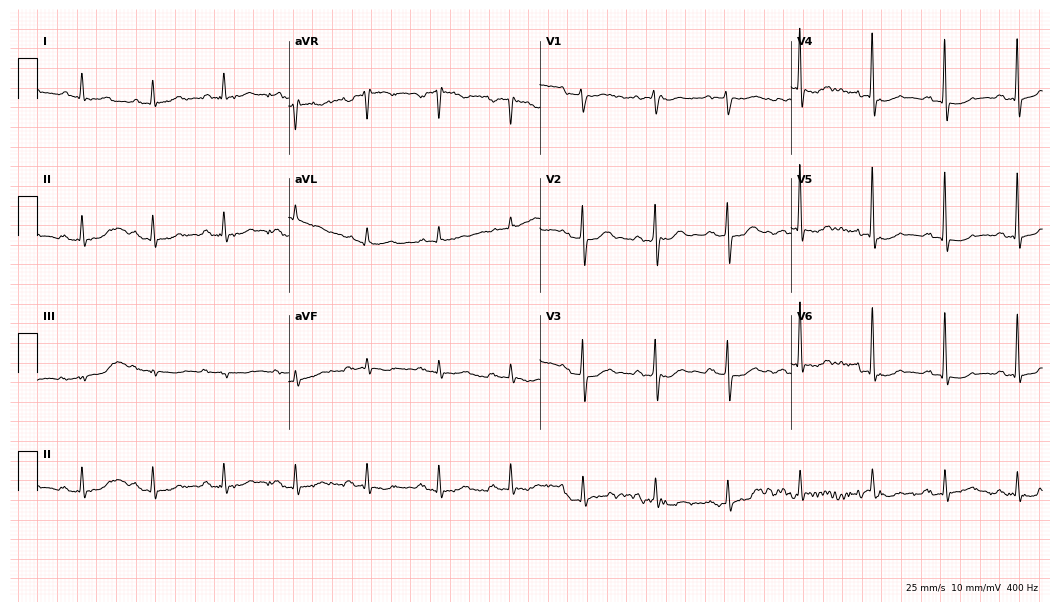
Electrocardiogram, a man, 77 years old. Of the six screened findings (first-degree AV block, right bundle branch block, left bundle branch block, sinus bradycardia, atrial fibrillation, sinus tachycardia), none is recorded. Only these six findings were labelled.